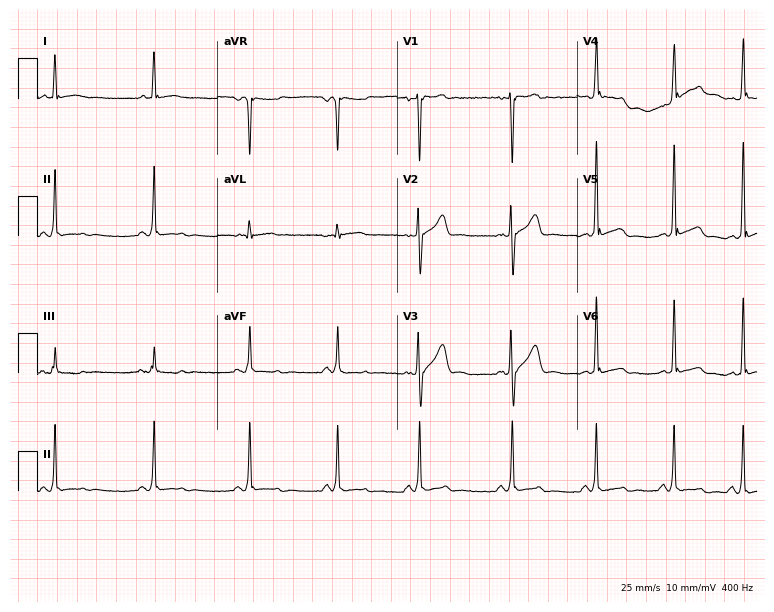
12-lead ECG from a 36-year-old man (7.3-second recording at 400 Hz). No first-degree AV block, right bundle branch block, left bundle branch block, sinus bradycardia, atrial fibrillation or sinus tachycardia recorded for this tracing. Other findings, if any, are not listed.